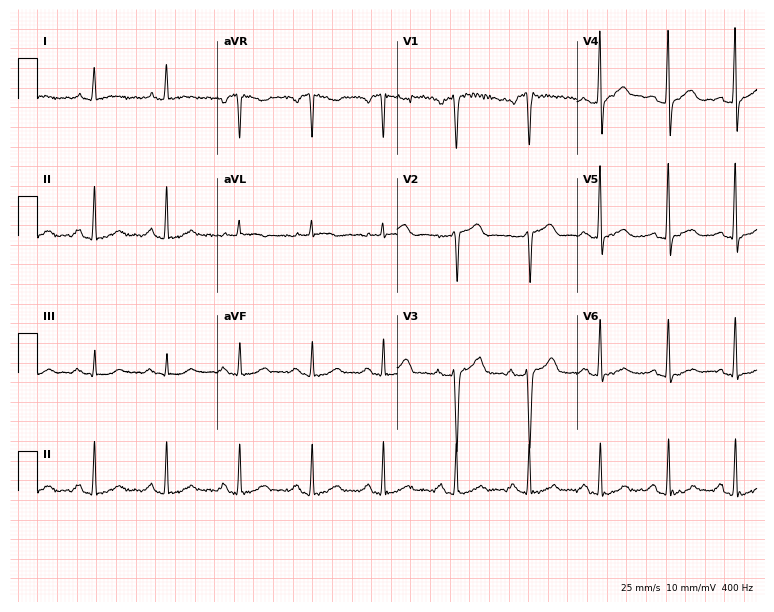
12-lead ECG from a male, 51 years old (7.3-second recording at 400 Hz). No first-degree AV block, right bundle branch block (RBBB), left bundle branch block (LBBB), sinus bradycardia, atrial fibrillation (AF) or sinus tachycardia recorded for this tracing.